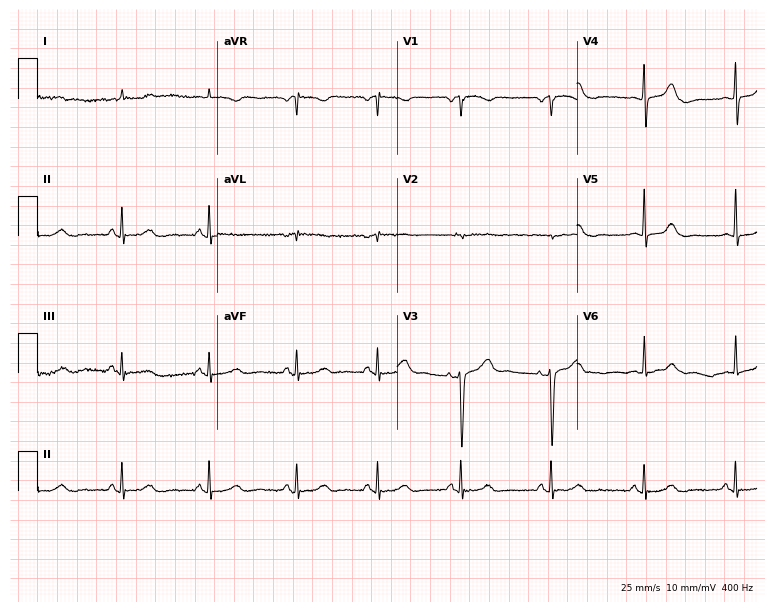
Resting 12-lead electrocardiogram. Patient: a 76-year-old woman. Read as a normal ECG.